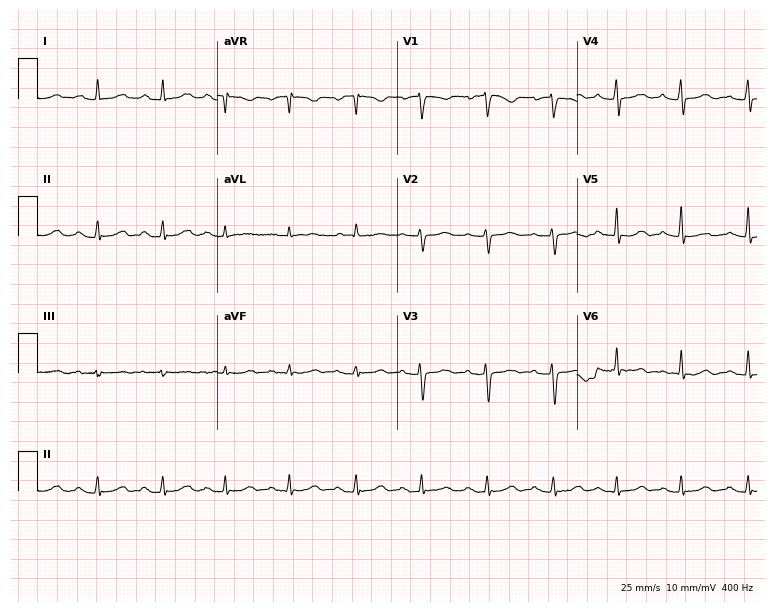
Electrocardiogram, a female, 51 years old. Overall reading on record: normal ECG.